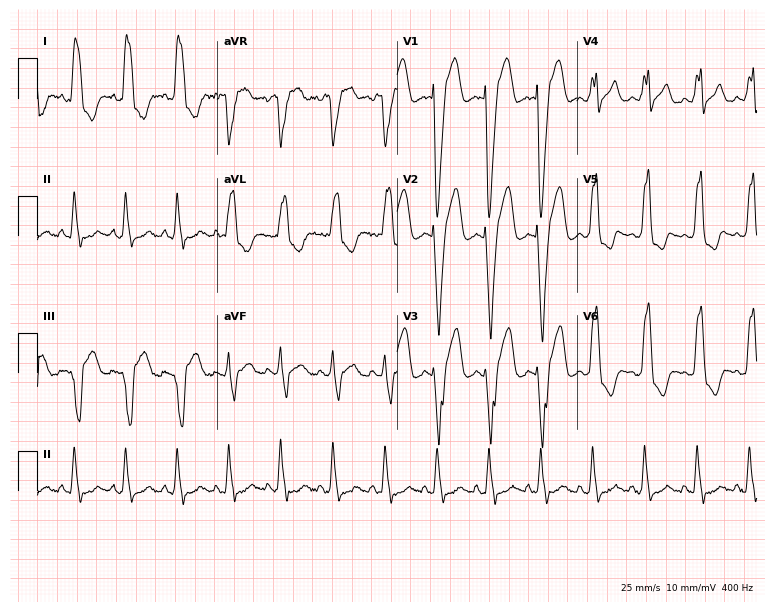
12-lead ECG from a 76-year-old female. Shows left bundle branch block, sinus tachycardia (a sinus rate of 100 beats per minute or more).